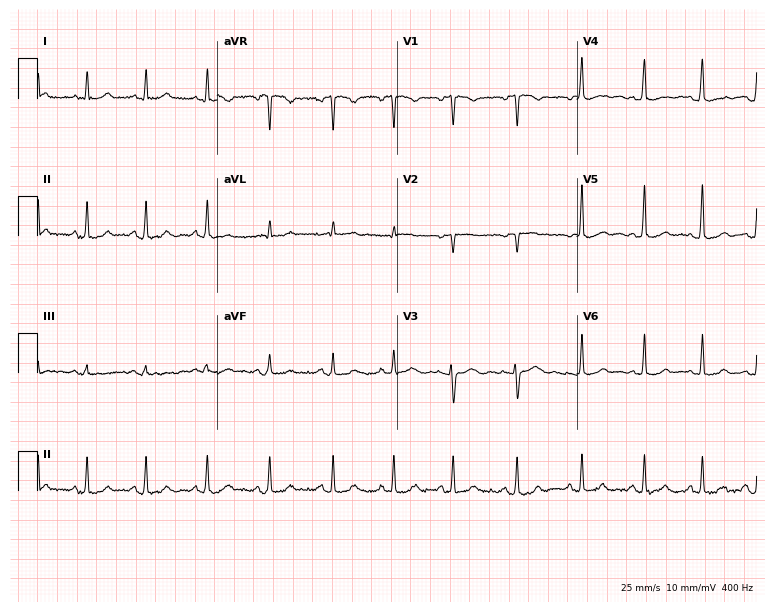
12-lead ECG from a female, 23 years old (7.3-second recording at 400 Hz). No first-degree AV block, right bundle branch block, left bundle branch block, sinus bradycardia, atrial fibrillation or sinus tachycardia recorded for this tracing. Findings outside these six are not listed.